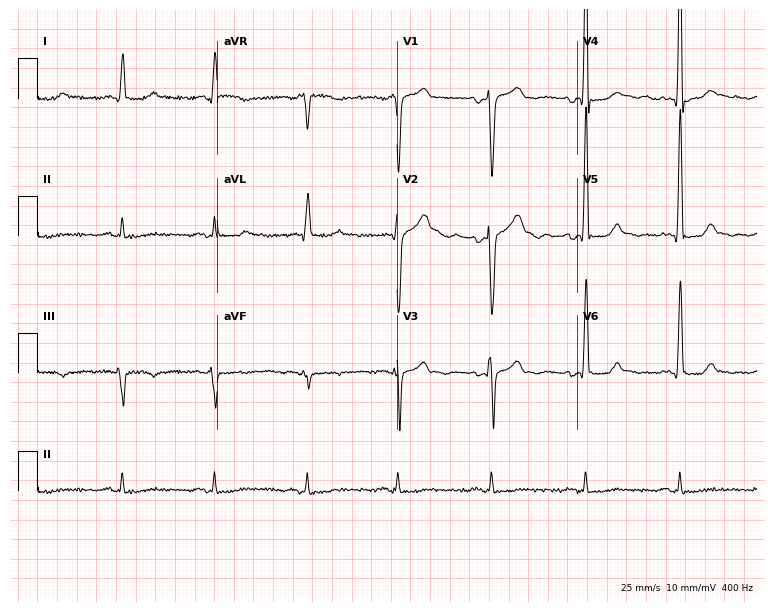
ECG — a man, 81 years old. Screened for six findings — first-degree AV block, right bundle branch block (RBBB), left bundle branch block (LBBB), sinus bradycardia, atrial fibrillation (AF), sinus tachycardia — none is recorded.